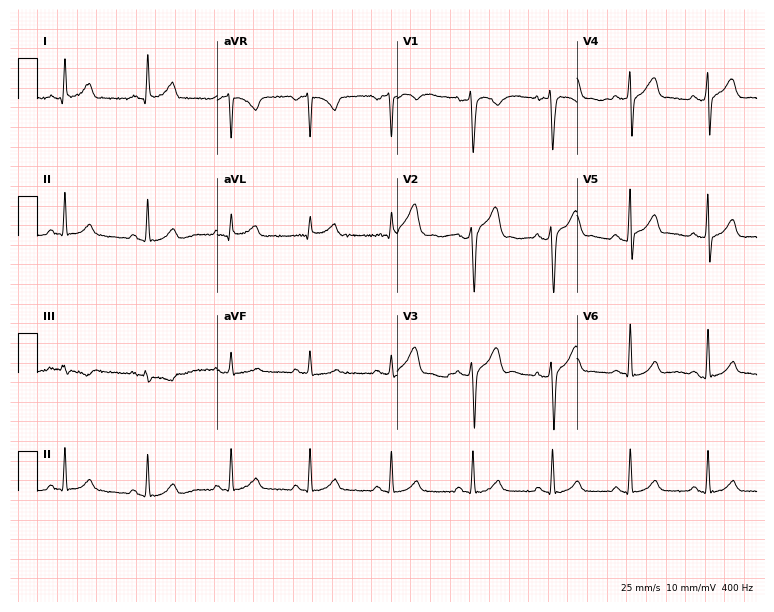
Standard 12-lead ECG recorded from a 36-year-old man (7.3-second recording at 400 Hz). Read as a normal ECG.